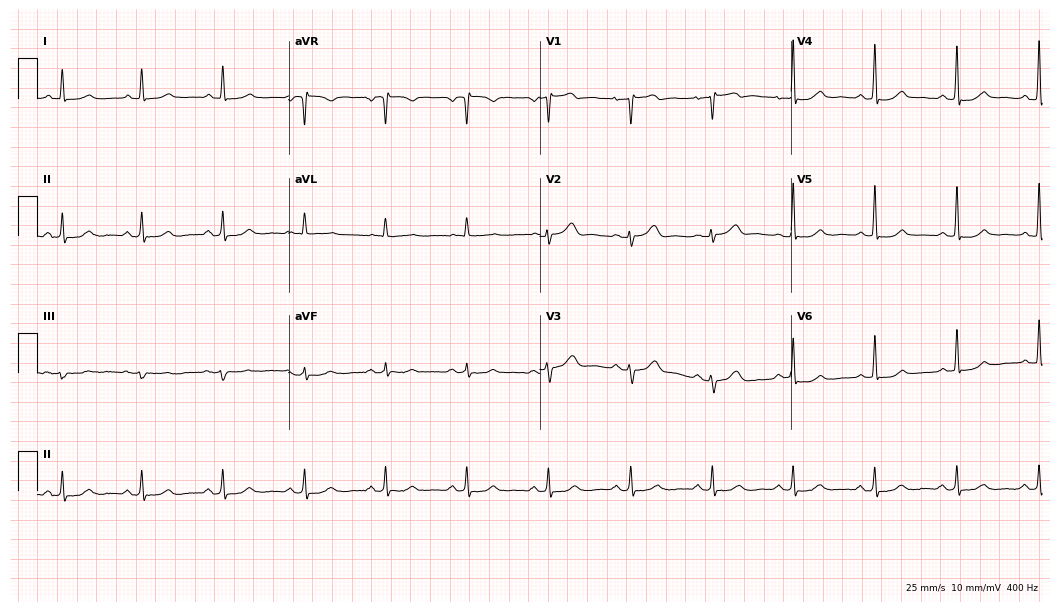
12-lead ECG (10.2-second recording at 400 Hz) from a 61-year-old female. Labelled as a normal ECG.